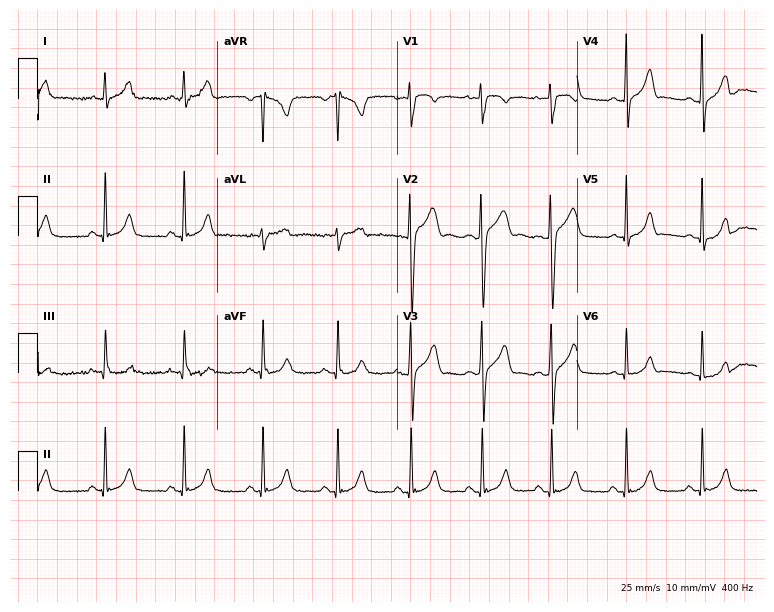
ECG — a man, 18 years old. Labelled as a normal ECG.